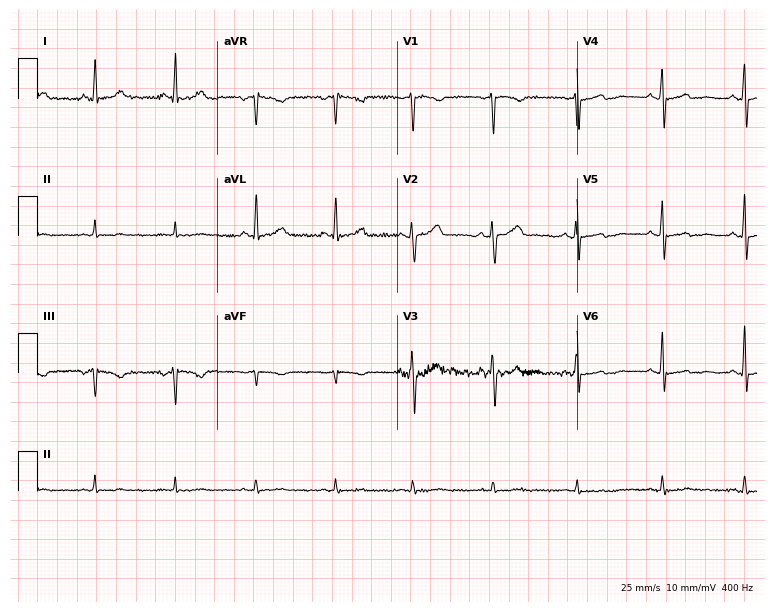
12-lead ECG from a 45-year-old woman. No first-degree AV block, right bundle branch block (RBBB), left bundle branch block (LBBB), sinus bradycardia, atrial fibrillation (AF) or sinus tachycardia recorded for this tracing. Other findings, if any, are not listed.